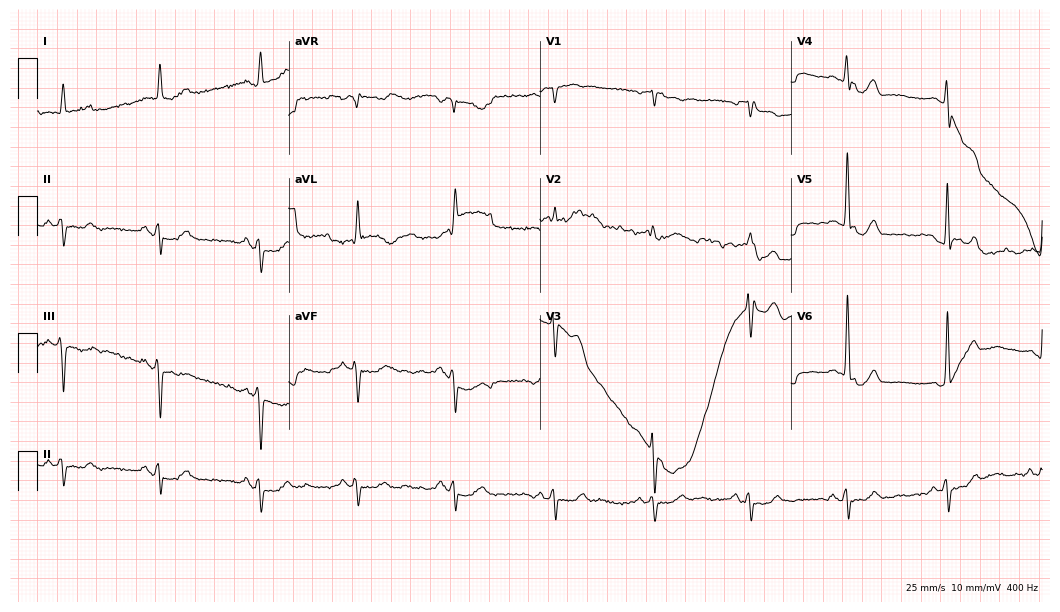
Electrocardiogram, a 74-year-old male. Of the six screened findings (first-degree AV block, right bundle branch block, left bundle branch block, sinus bradycardia, atrial fibrillation, sinus tachycardia), none is recorded.